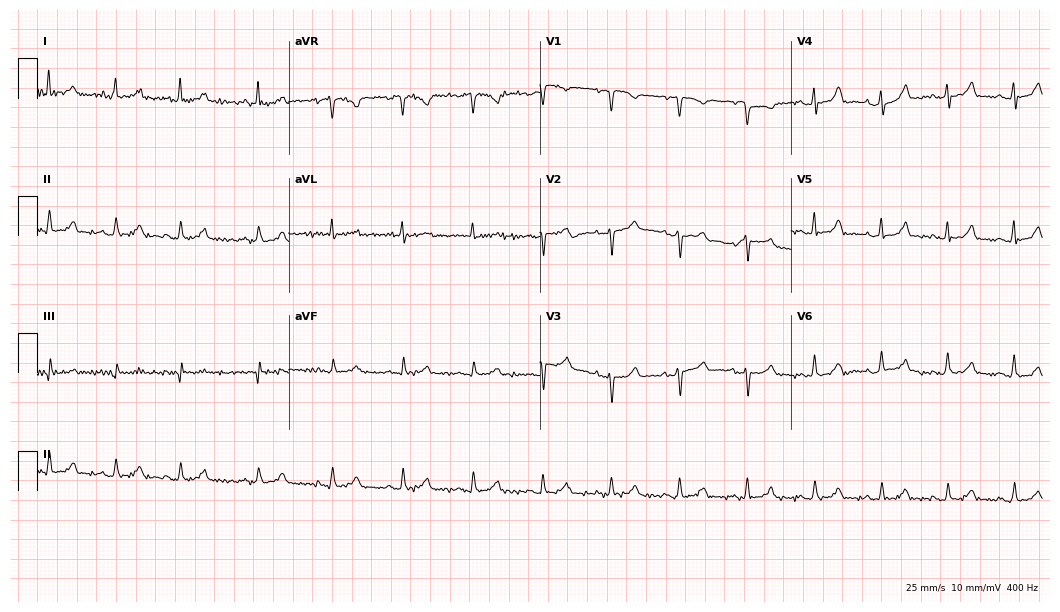
Resting 12-lead electrocardiogram. Patient: a 69-year-old female. Read as a normal ECG.